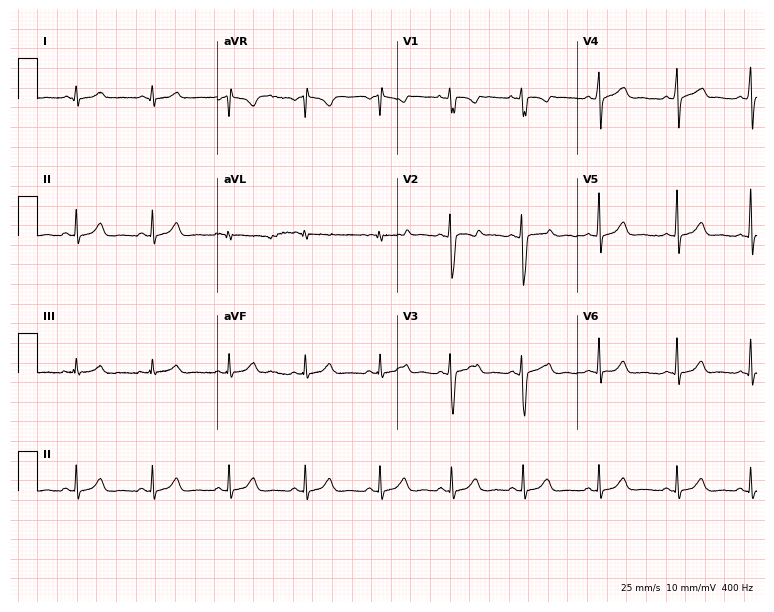
Standard 12-lead ECG recorded from a 19-year-old woman. None of these six findings is recorded: first-degree AV block, right bundle branch block, left bundle branch block, sinus bradycardia, atrial fibrillation, sinus tachycardia.